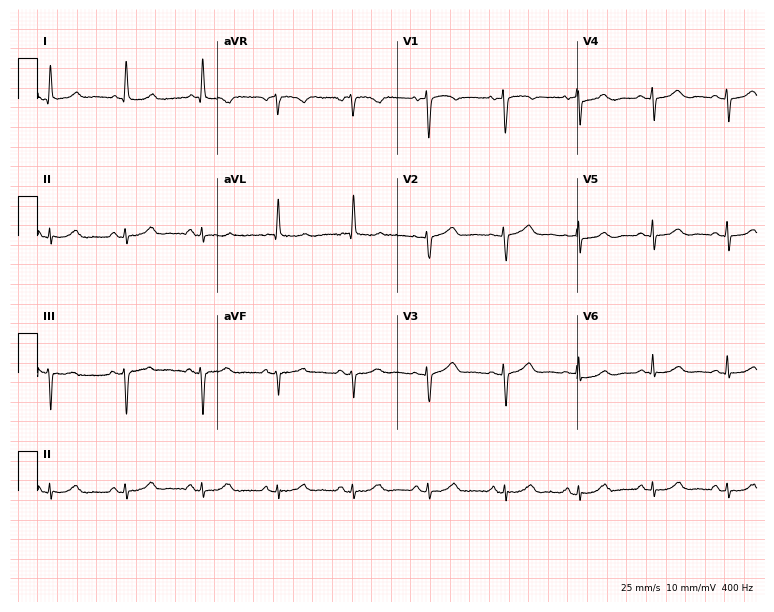
12-lead ECG (7.3-second recording at 400 Hz) from a woman, 79 years old. Labelled as a normal ECG.